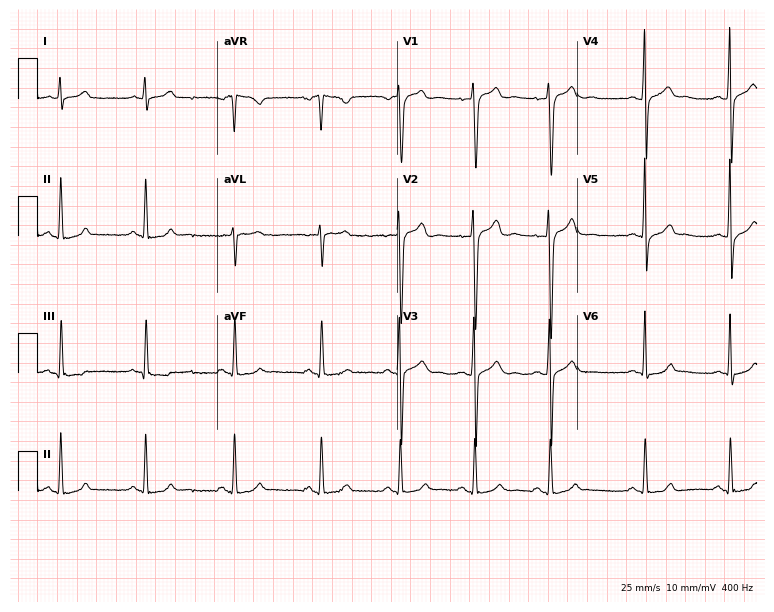
Electrocardiogram (7.3-second recording at 400 Hz), a male, 18 years old. Overall reading on record: normal ECG.